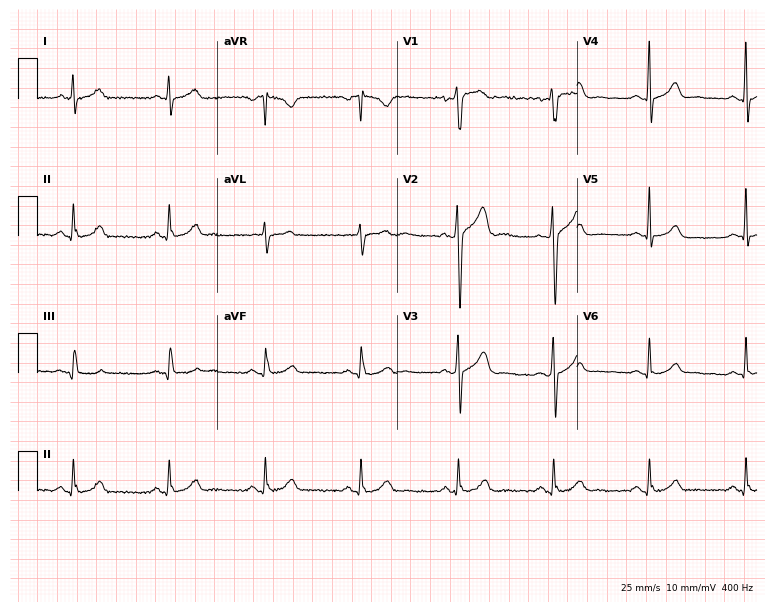
12-lead ECG from a 46-year-old male. Labelled as a normal ECG.